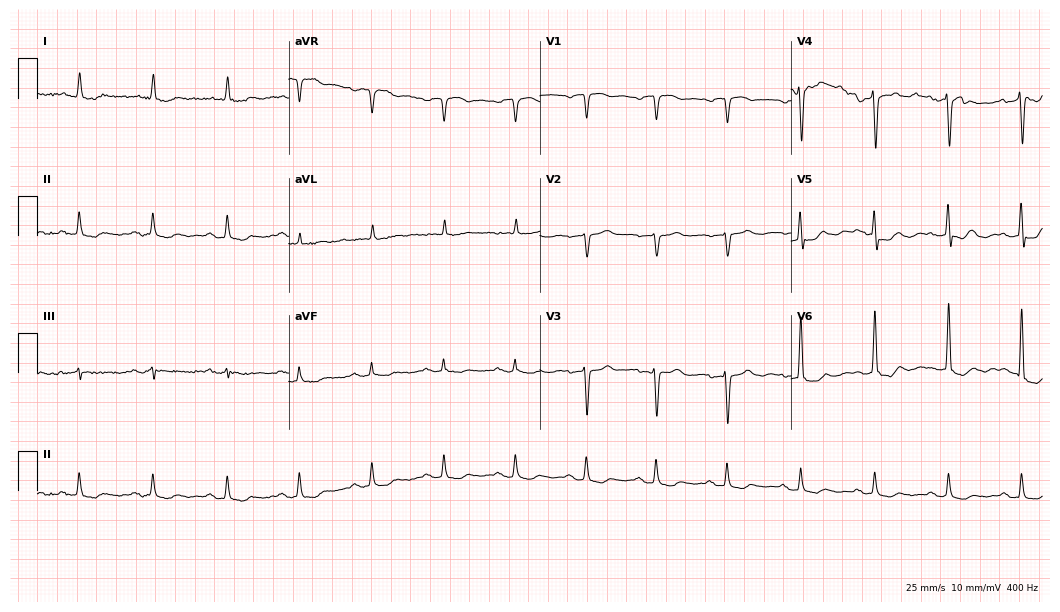
Electrocardiogram, an 84-year-old male. Of the six screened findings (first-degree AV block, right bundle branch block (RBBB), left bundle branch block (LBBB), sinus bradycardia, atrial fibrillation (AF), sinus tachycardia), none is recorded.